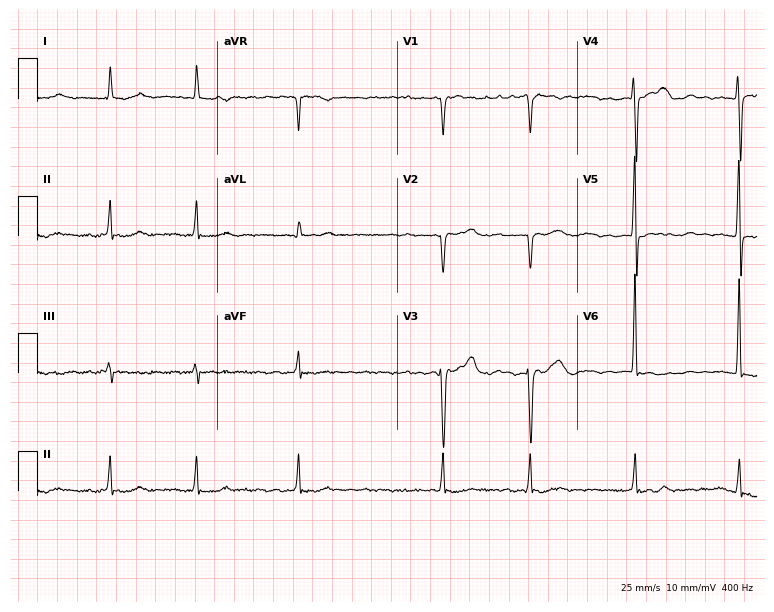
12-lead ECG (7.3-second recording at 400 Hz) from a woman, 86 years old. Findings include atrial fibrillation (AF).